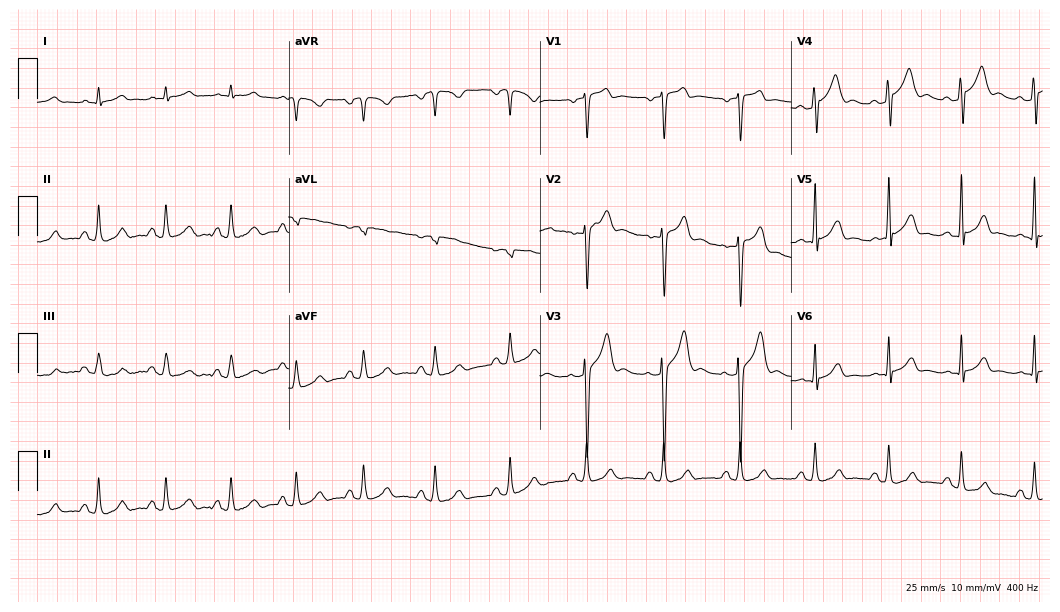
Electrocardiogram (10.2-second recording at 400 Hz), a male, 29 years old. Of the six screened findings (first-degree AV block, right bundle branch block (RBBB), left bundle branch block (LBBB), sinus bradycardia, atrial fibrillation (AF), sinus tachycardia), none is recorded. Findings outside these six are not listed.